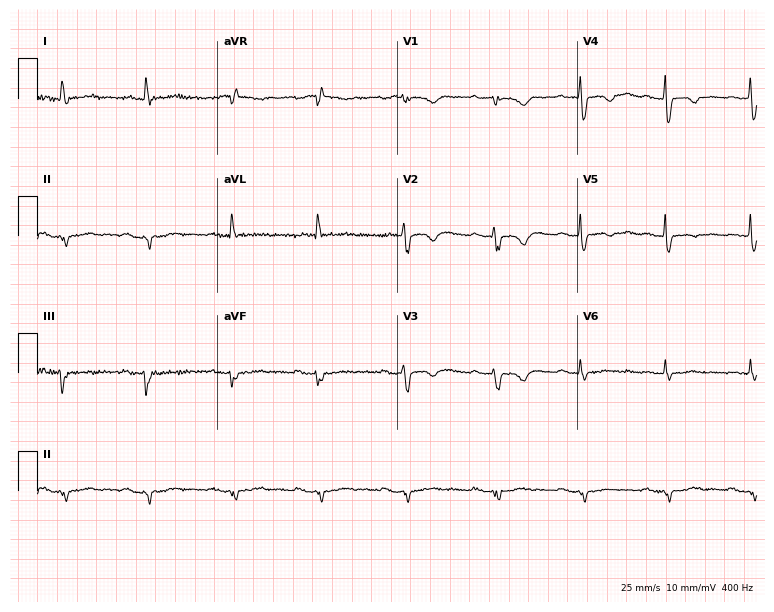
12-lead ECG from a female, 61 years old. Screened for six findings — first-degree AV block, right bundle branch block, left bundle branch block, sinus bradycardia, atrial fibrillation, sinus tachycardia — none is recorded.